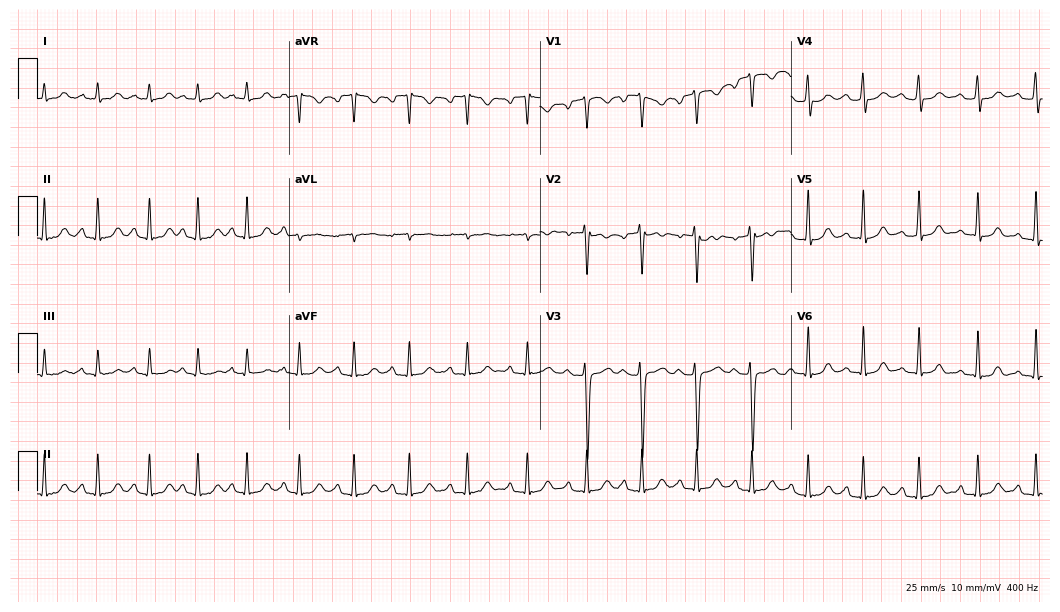
Resting 12-lead electrocardiogram. Patient: a 20-year-old woman. None of these six findings is recorded: first-degree AV block, right bundle branch block (RBBB), left bundle branch block (LBBB), sinus bradycardia, atrial fibrillation (AF), sinus tachycardia.